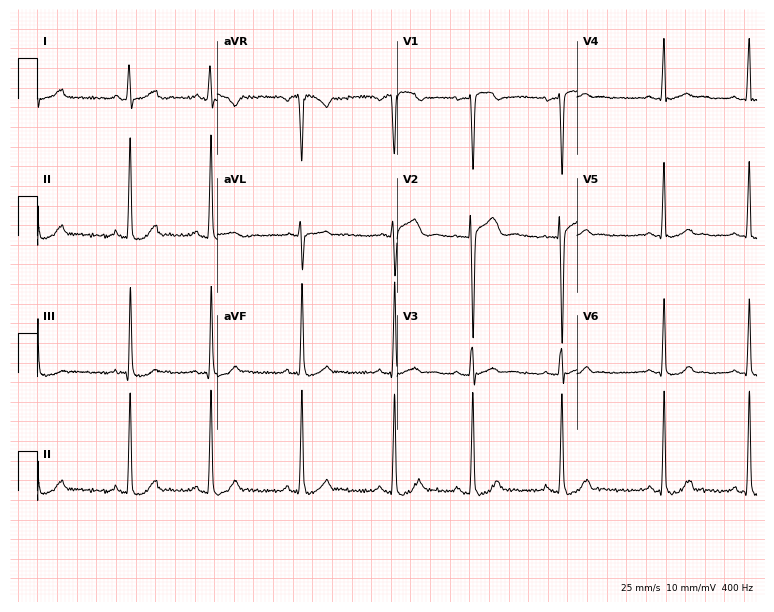
ECG — a female patient, 17 years old. Labelled as a normal ECG.